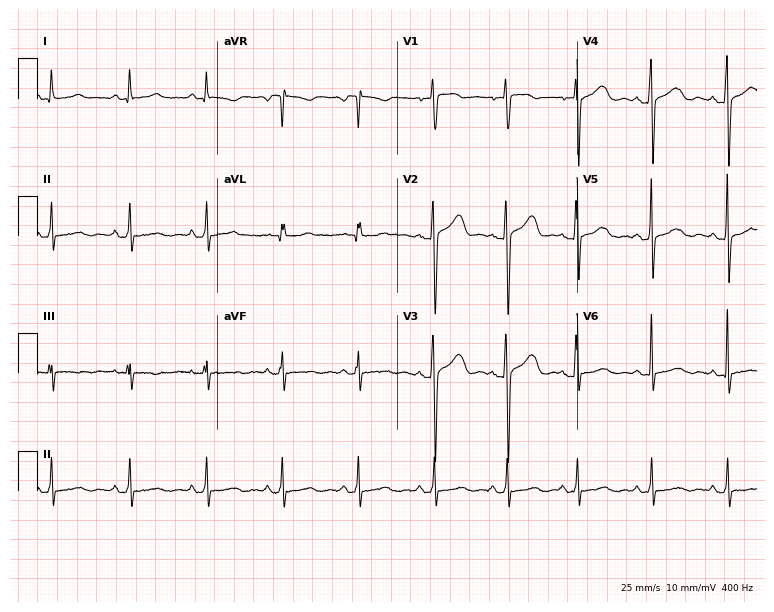
Standard 12-lead ECG recorded from a 61-year-old female patient (7.3-second recording at 400 Hz). Read as a normal ECG.